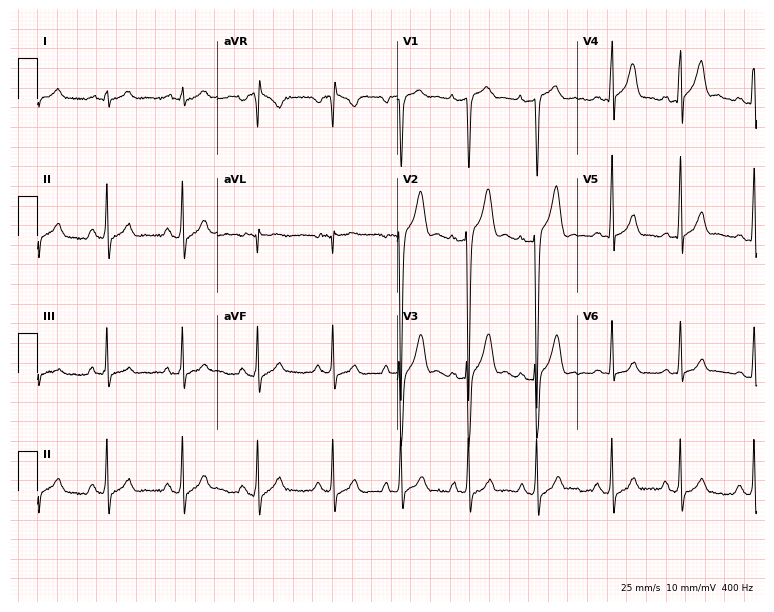
12-lead ECG from a 21-year-old man. No first-degree AV block, right bundle branch block (RBBB), left bundle branch block (LBBB), sinus bradycardia, atrial fibrillation (AF) or sinus tachycardia recorded for this tracing. Only these six findings were labelled.